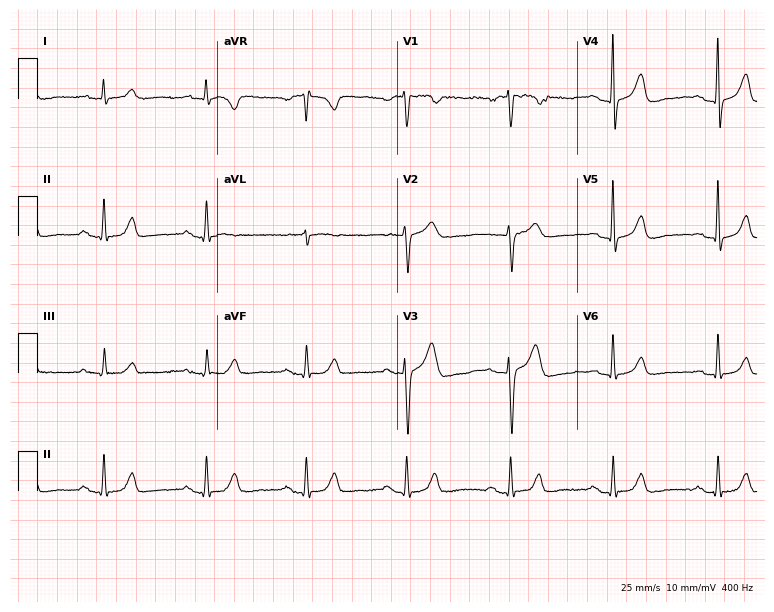
Electrocardiogram, a male, 38 years old. Overall reading on record: normal ECG.